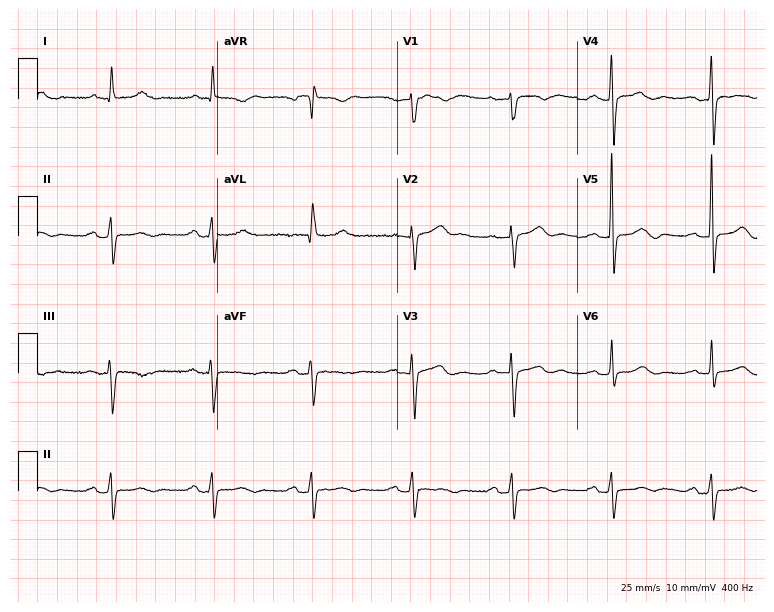
Electrocardiogram (7.3-second recording at 400 Hz), an 81-year-old man. Of the six screened findings (first-degree AV block, right bundle branch block, left bundle branch block, sinus bradycardia, atrial fibrillation, sinus tachycardia), none is recorded.